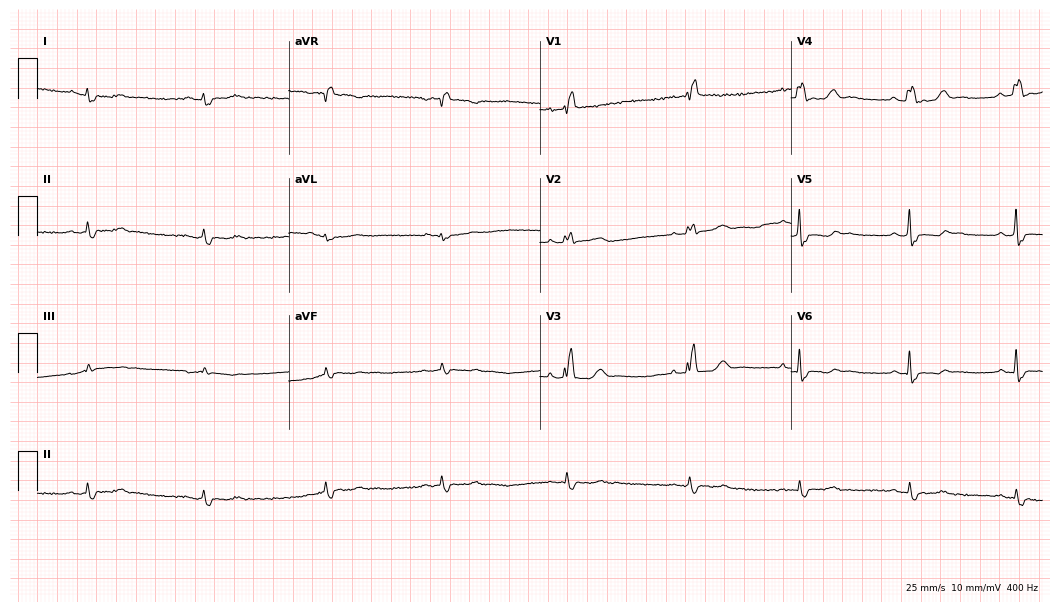
ECG — a woman, 57 years old. Screened for six findings — first-degree AV block, right bundle branch block (RBBB), left bundle branch block (LBBB), sinus bradycardia, atrial fibrillation (AF), sinus tachycardia — none is recorded. Findings outside these six are not listed.